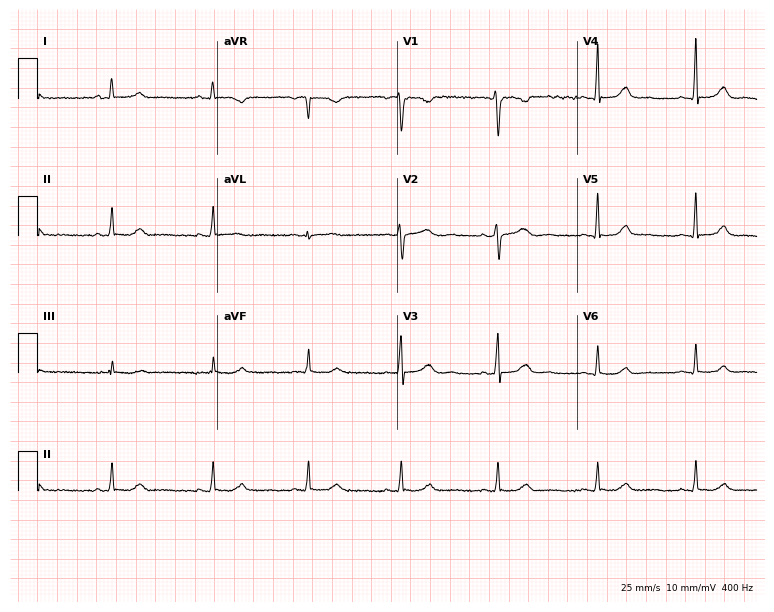
12-lead ECG from a 43-year-old female (7.3-second recording at 400 Hz). Recorded interpretation: within normal limits.